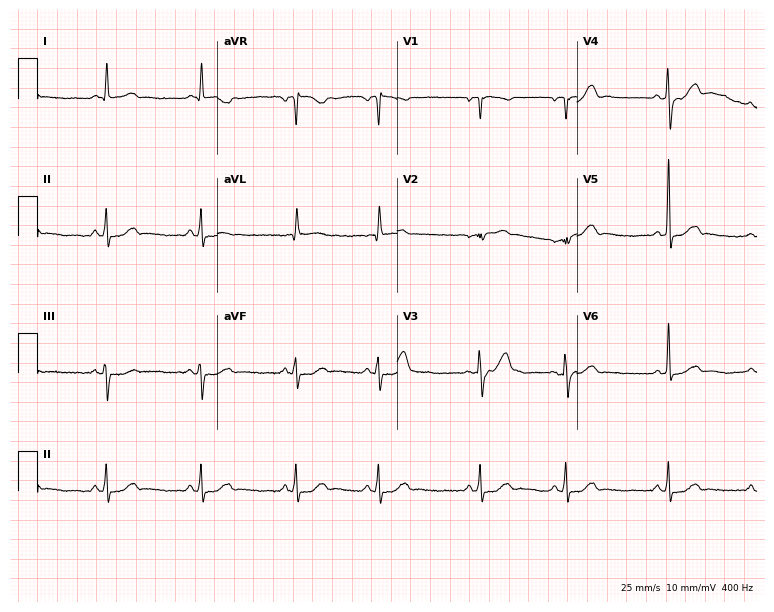
12-lead ECG from a 74-year-old man (7.3-second recording at 400 Hz). No first-degree AV block, right bundle branch block, left bundle branch block, sinus bradycardia, atrial fibrillation or sinus tachycardia recorded for this tracing. Other findings, if any, are not listed.